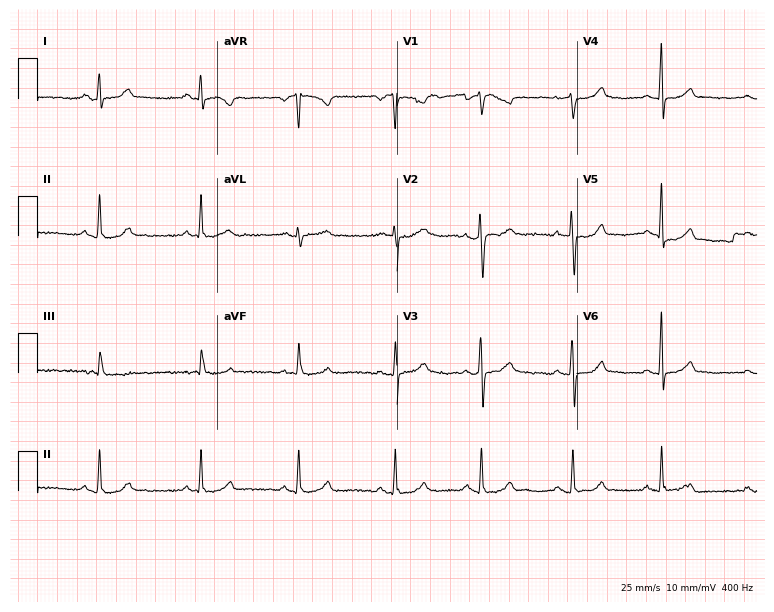
12-lead ECG from a 30-year-old female patient. Recorded interpretation: within normal limits.